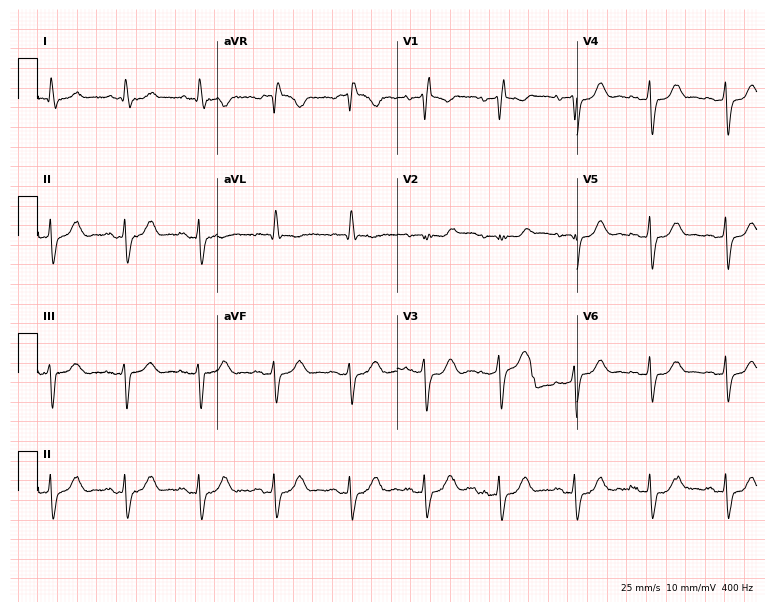
Electrocardiogram (7.3-second recording at 400 Hz), a woman, 82 years old. Interpretation includes right bundle branch block (RBBB).